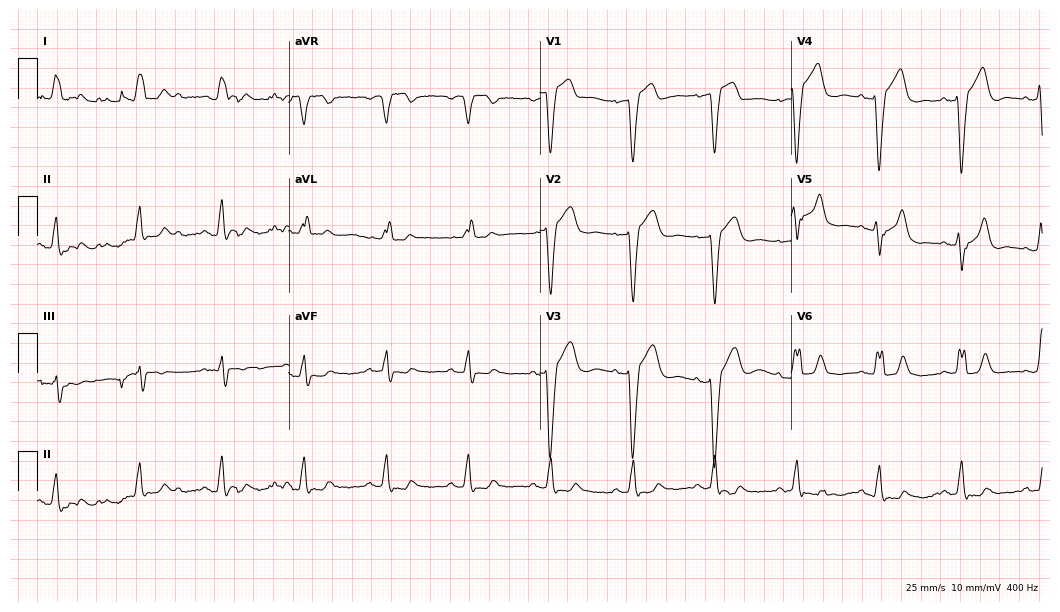
Electrocardiogram, a male patient, 83 years old. Interpretation includes left bundle branch block.